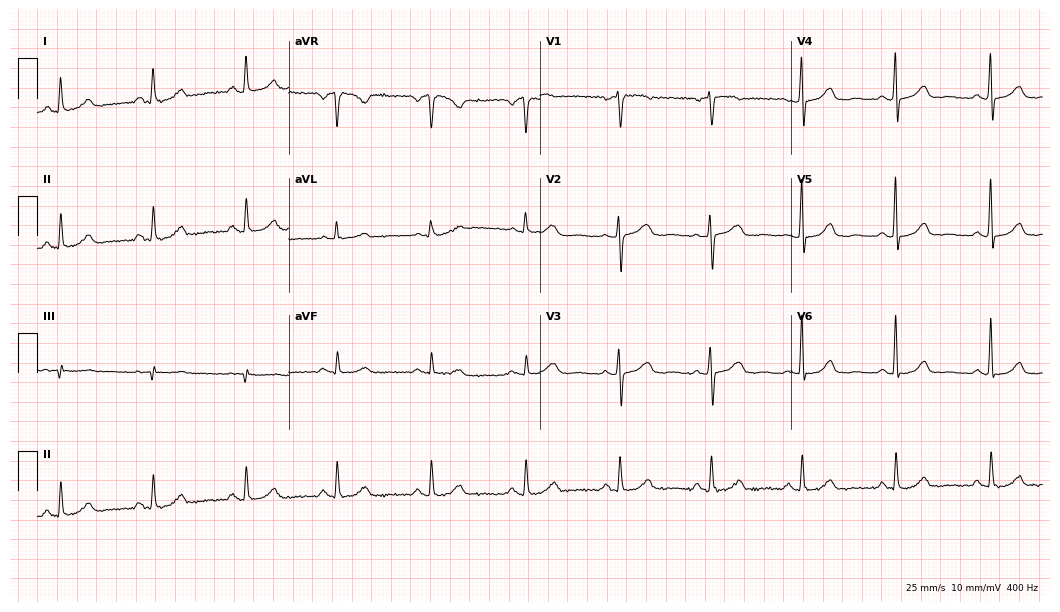
12-lead ECG from a woman, 59 years old. Screened for six findings — first-degree AV block, right bundle branch block, left bundle branch block, sinus bradycardia, atrial fibrillation, sinus tachycardia — none is recorded.